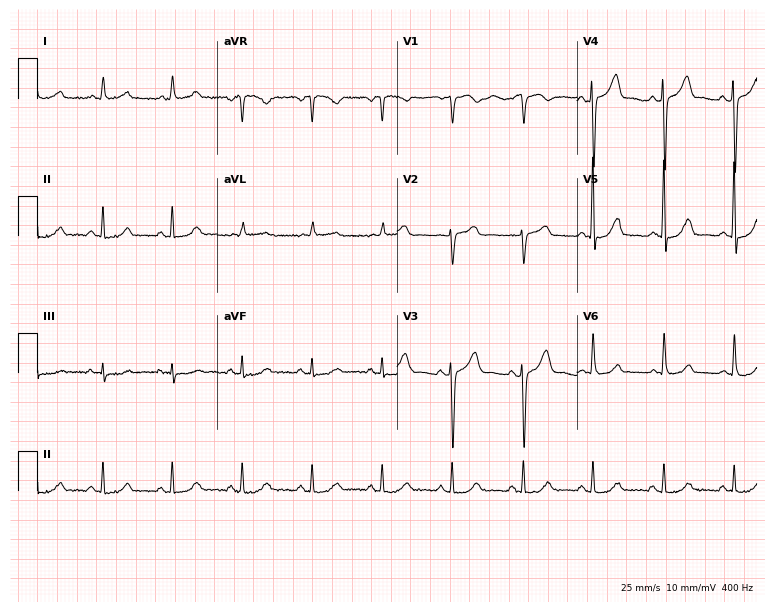
ECG — a female, 76 years old. Labelled as a normal ECG.